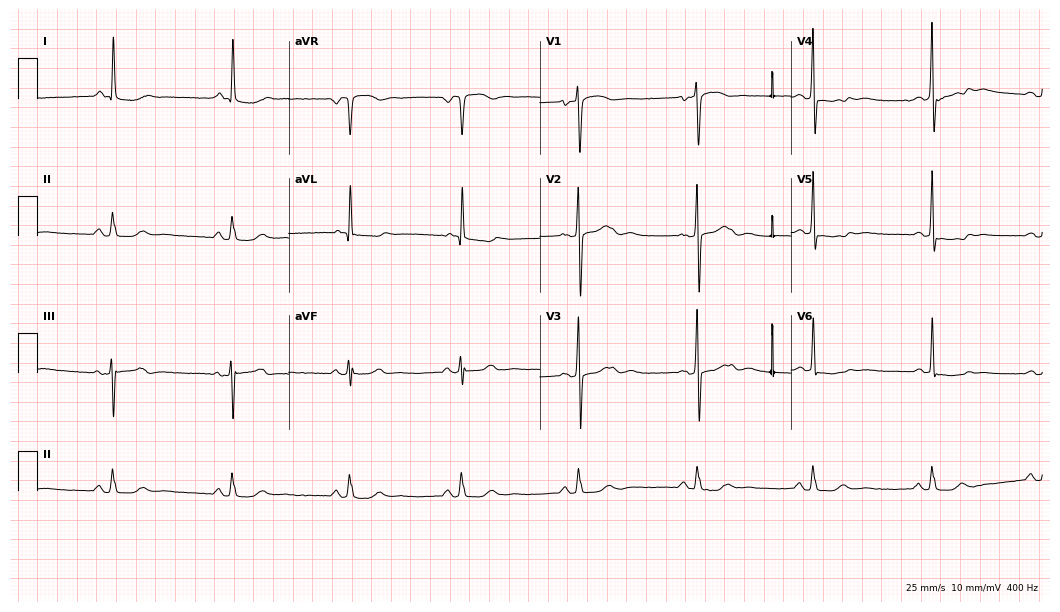
12-lead ECG (10.2-second recording at 400 Hz) from a female patient, 62 years old. Screened for six findings — first-degree AV block, right bundle branch block, left bundle branch block, sinus bradycardia, atrial fibrillation, sinus tachycardia — none is recorded. Other findings, if any, are not listed.